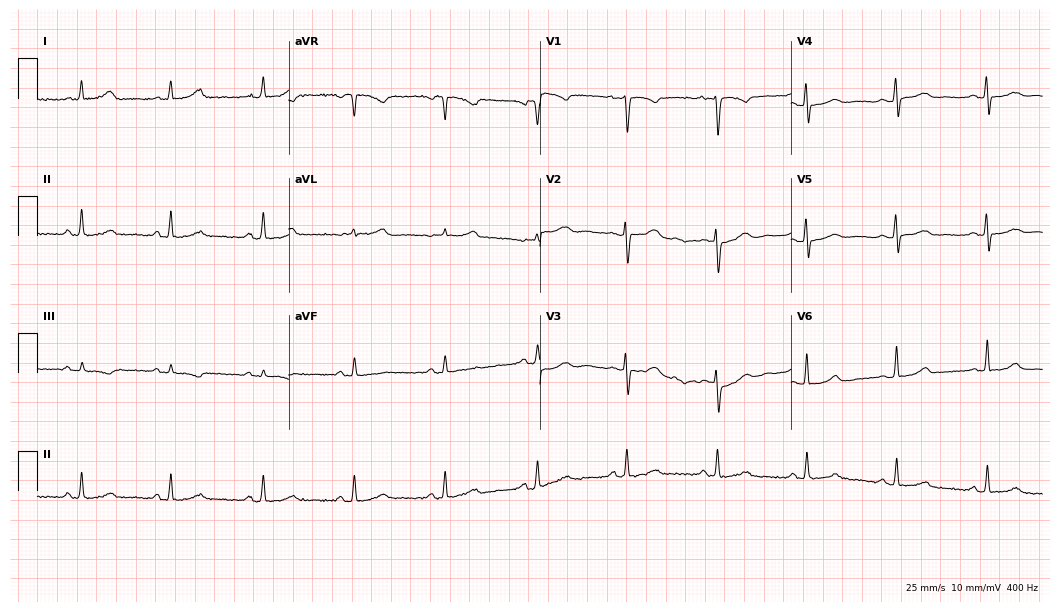
12-lead ECG from a 44-year-old woman (10.2-second recording at 400 Hz). Recorded interpretation: within normal limits.